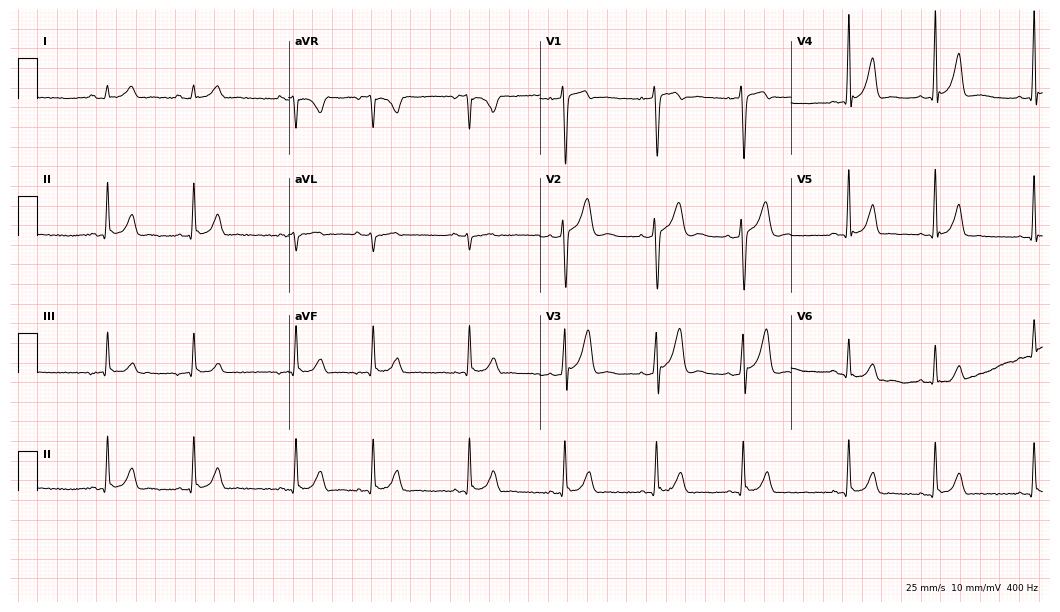
Standard 12-lead ECG recorded from a male patient, 24 years old. Read as a normal ECG.